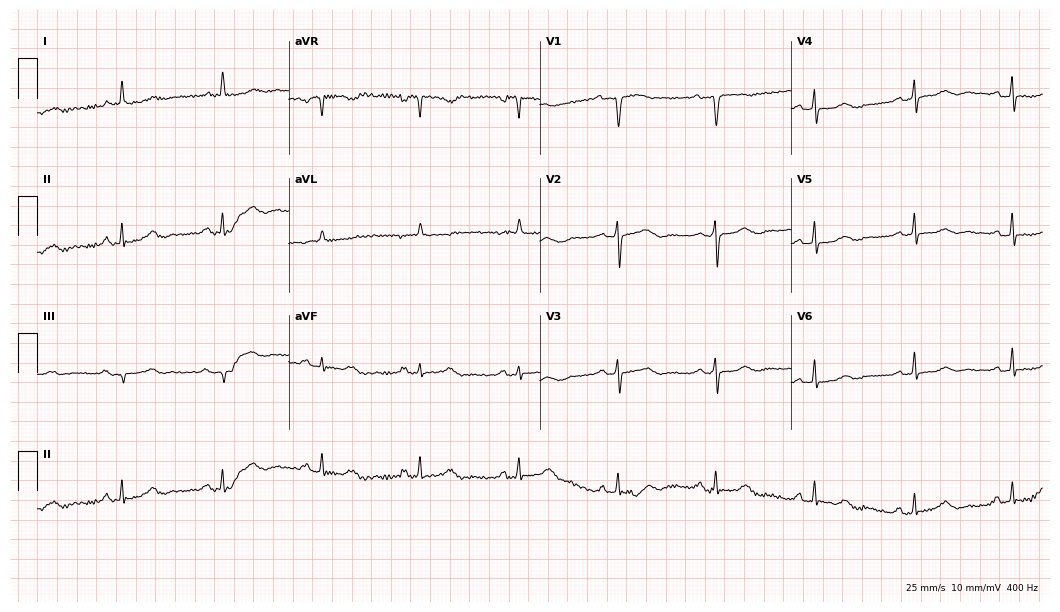
Resting 12-lead electrocardiogram. Patient: a female, 77 years old. Read as a normal ECG.